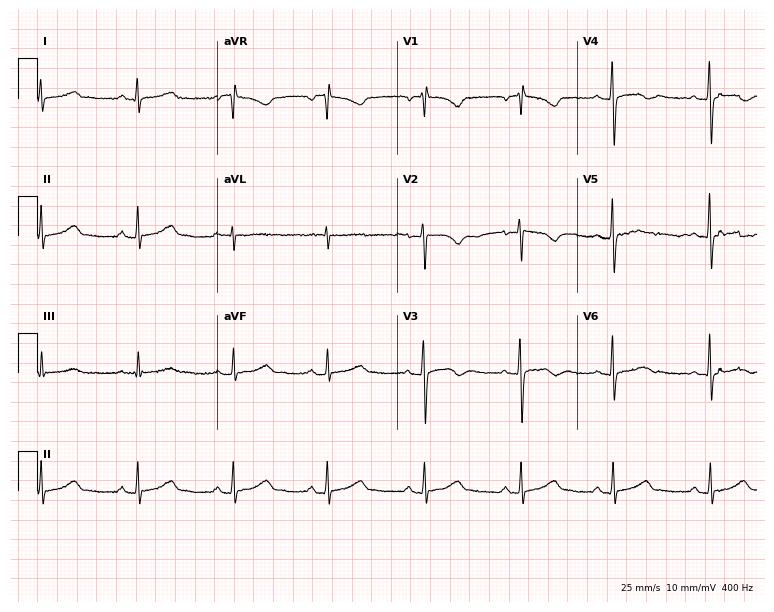
Standard 12-lead ECG recorded from a woman, 48 years old (7.3-second recording at 400 Hz). None of these six findings is recorded: first-degree AV block, right bundle branch block, left bundle branch block, sinus bradycardia, atrial fibrillation, sinus tachycardia.